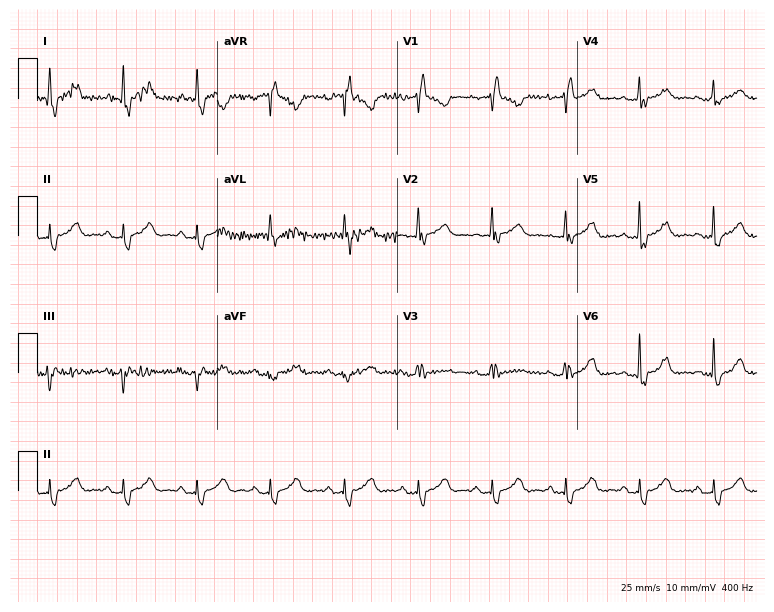
Resting 12-lead electrocardiogram (7.3-second recording at 400 Hz). Patient: a 71-year-old female. The tracing shows right bundle branch block.